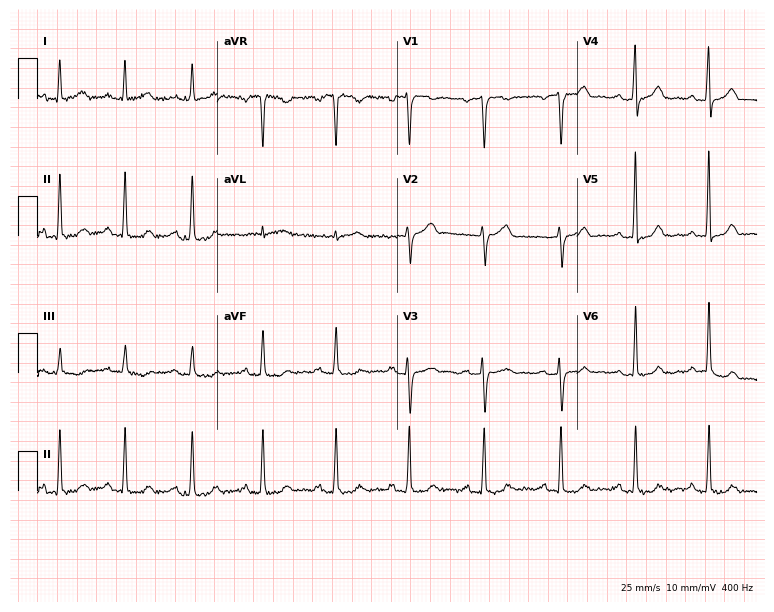
12-lead ECG from a female patient, 46 years old. Labelled as a normal ECG.